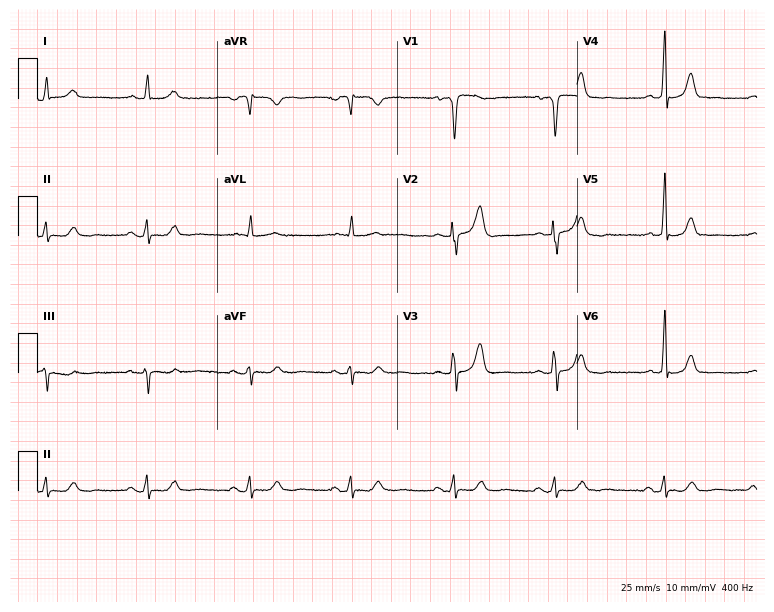
12-lead ECG from a 73-year-old male patient. No first-degree AV block, right bundle branch block, left bundle branch block, sinus bradycardia, atrial fibrillation or sinus tachycardia recorded for this tracing.